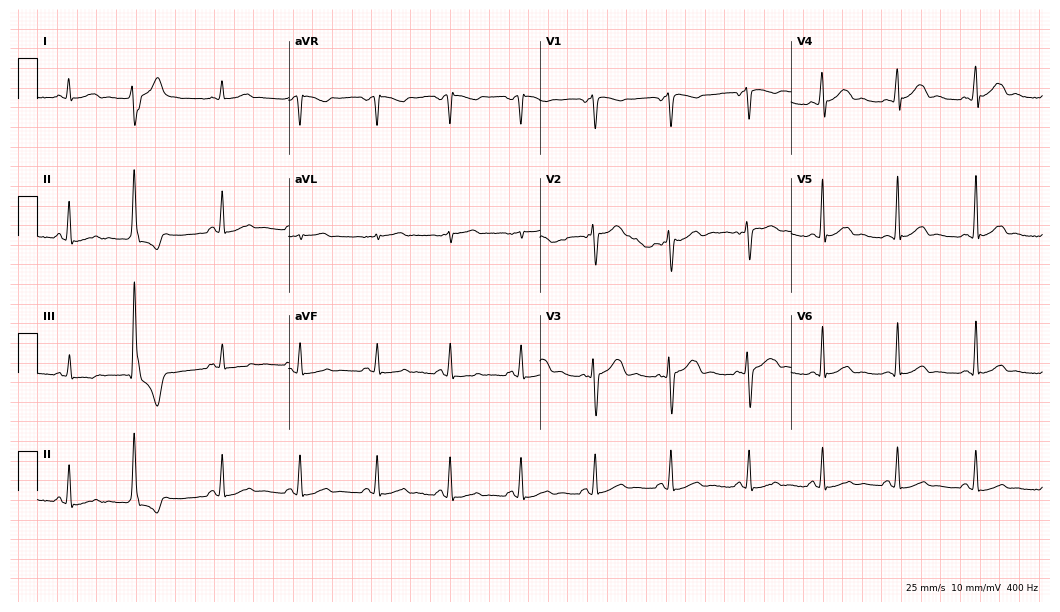
Electrocardiogram, a 39-year-old woman. Overall reading on record: normal ECG.